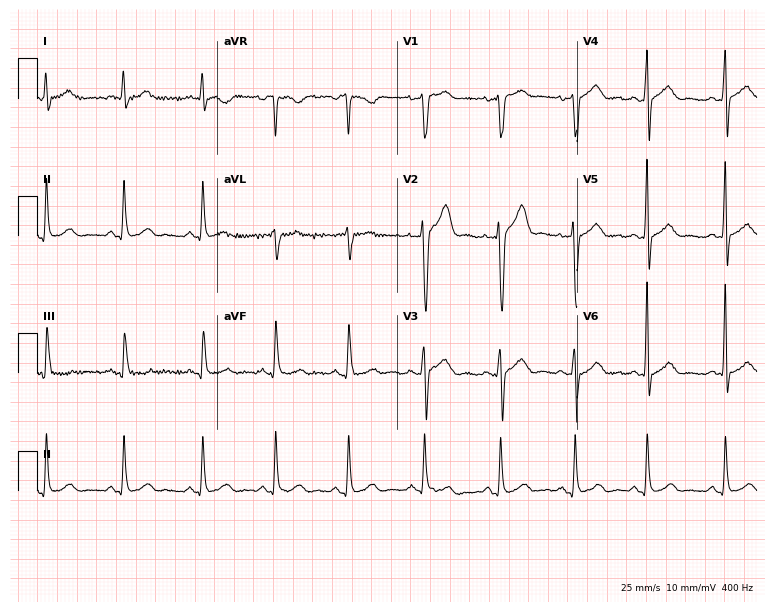
ECG — a 38-year-old male. Screened for six findings — first-degree AV block, right bundle branch block (RBBB), left bundle branch block (LBBB), sinus bradycardia, atrial fibrillation (AF), sinus tachycardia — none is recorded.